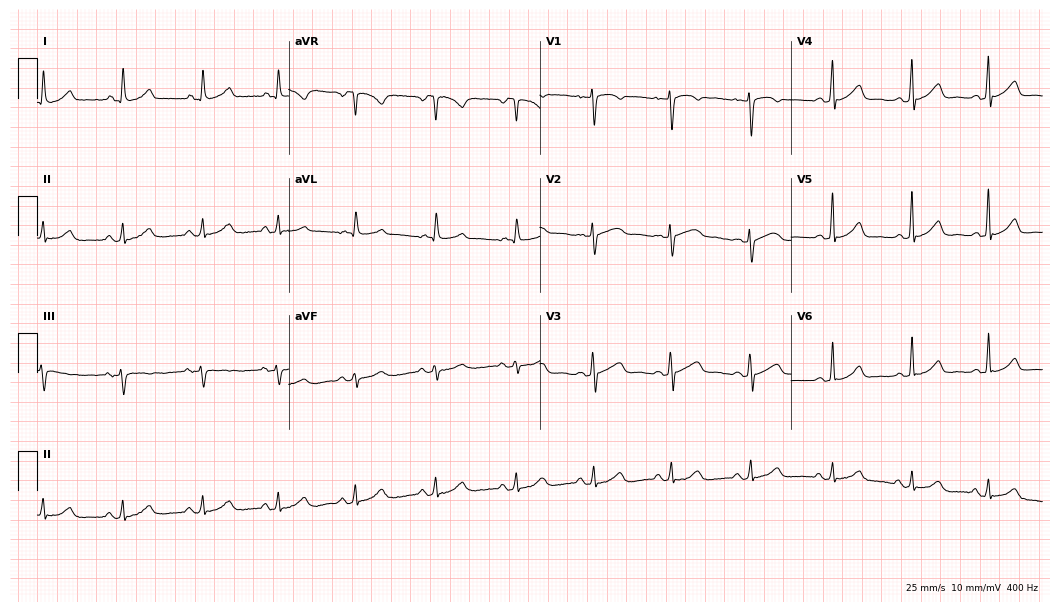
12-lead ECG from a female, 51 years old. No first-degree AV block, right bundle branch block, left bundle branch block, sinus bradycardia, atrial fibrillation or sinus tachycardia recorded for this tracing. Other findings, if any, are not listed.